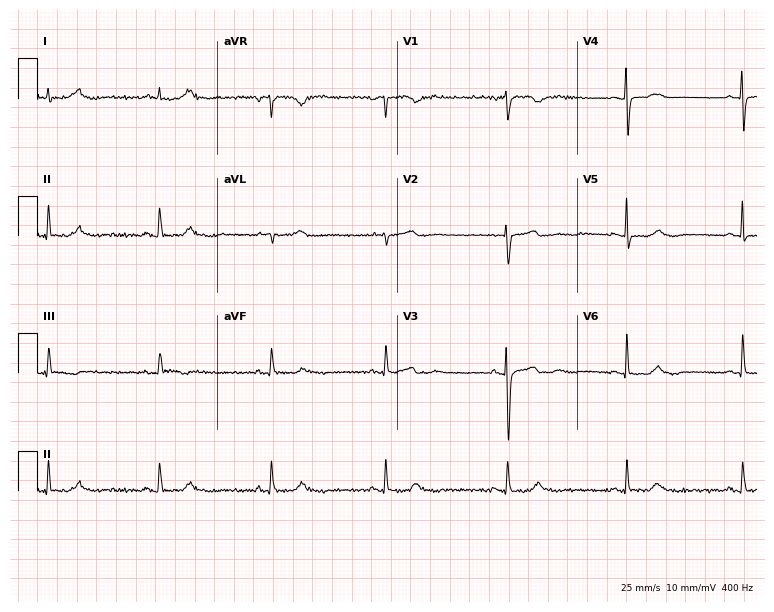
Electrocardiogram (7.3-second recording at 400 Hz), a female patient, 45 years old. Of the six screened findings (first-degree AV block, right bundle branch block (RBBB), left bundle branch block (LBBB), sinus bradycardia, atrial fibrillation (AF), sinus tachycardia), none is recorded. Only these six findings were labelled.